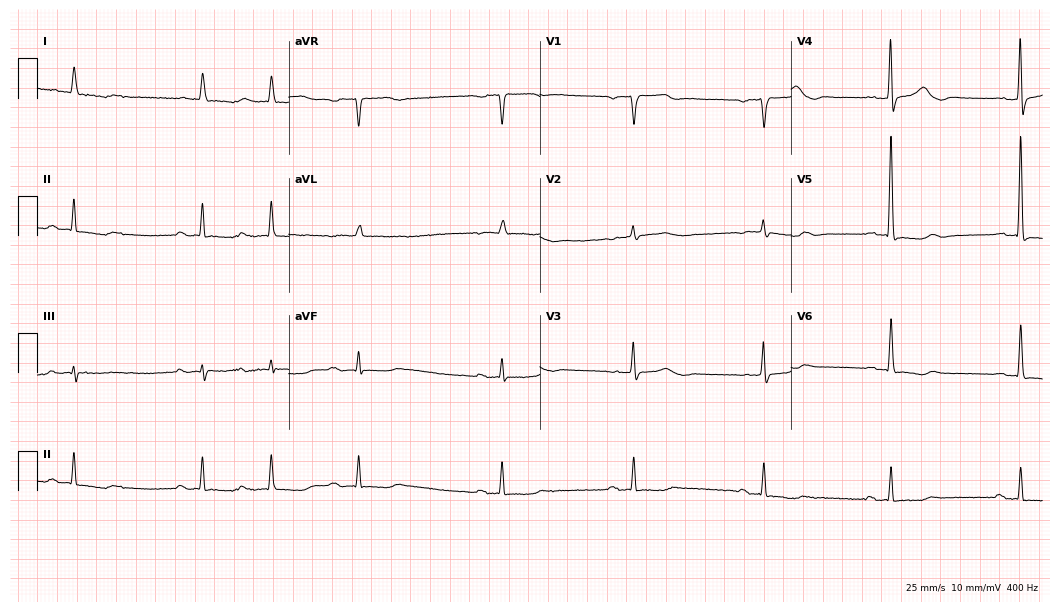
Electrocardiogram (10.2-second recording at 400 Hz), an 85-year-old woman. Of the six screened findings (first-degree AV block, right bundle branch block (RBBB), left bundle branch block (LBBB), sinus bradycardia, atrial fibrillation (AF), sinus tachycardia), none is recorded. Findings outside these six are not listed.